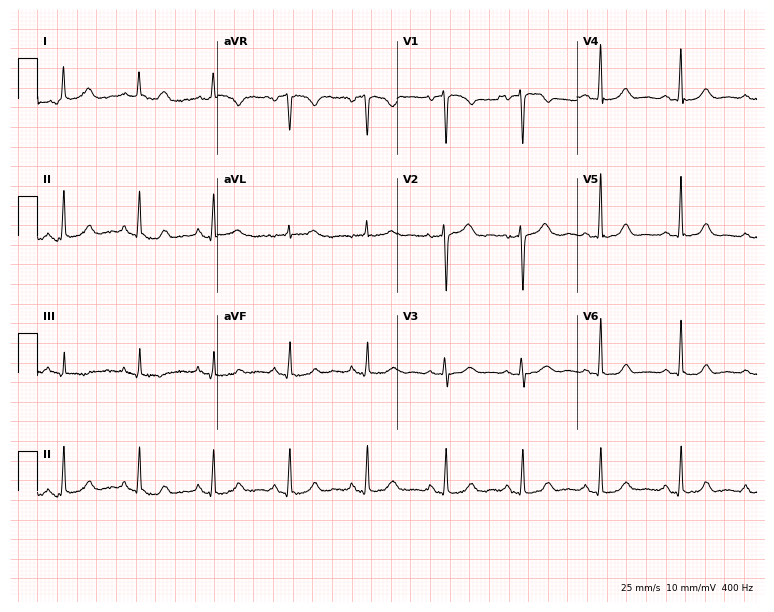
Standard 12-lead ECG recorded from a 68-year-old female. Read as a normal ECG.